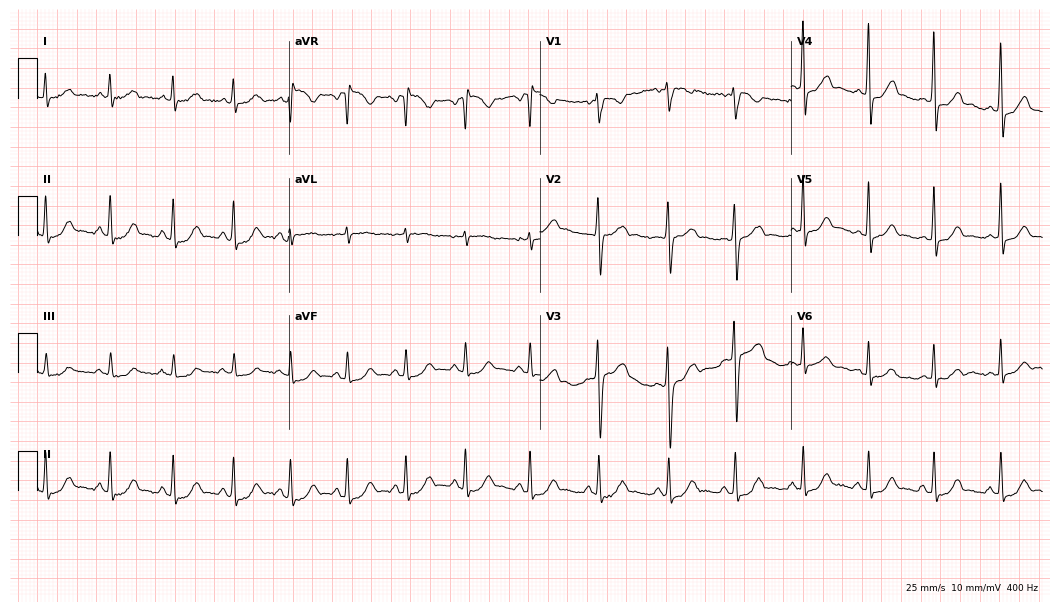
12-lead ECG from a 17-year-old male patient. Labelled as a normal ECG.